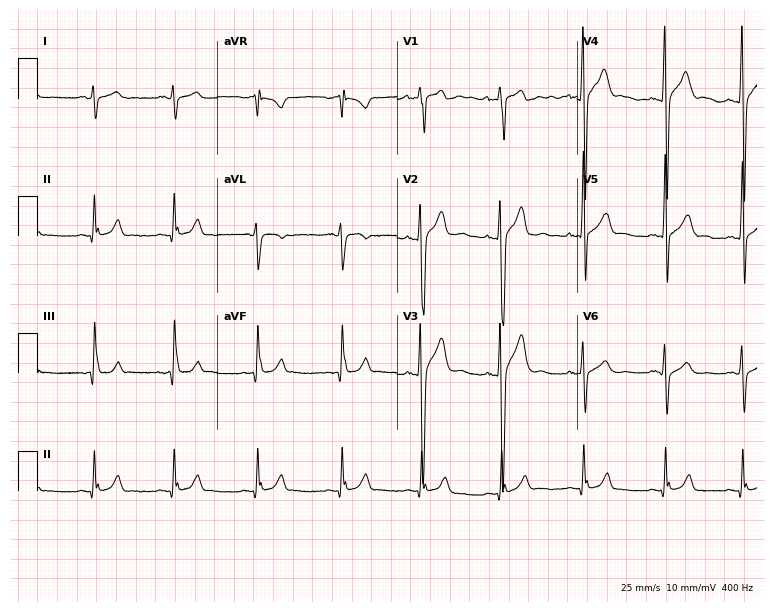
Electrocardiogram (7.3-second recording at 400 Hz), a male patient, 19 years old. Of the six screened findings (first-degree AV block, right bundle branch block (RBBB), left bundle branch block (LBBB), sinus bradycardia, atrial fibrillation (AF), sinus tachycardia), none is recorded. Findings outside these six are not listed.